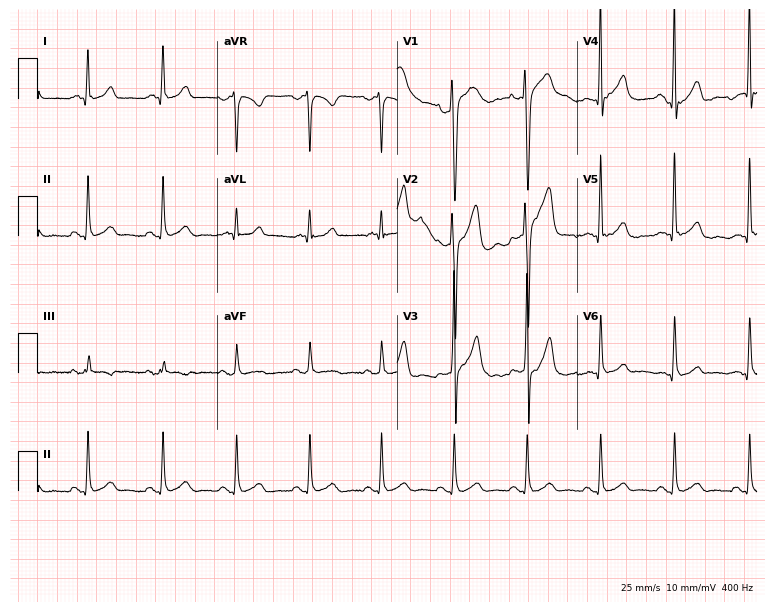
ECG (7.3-second recording at 400 Hz) — a male patient, 40 years old. Screened for six findings — first-degree AV block, right bundle branch block, left bundle branch block, sinus bradycardia, atrial fibrillation, sinus tachycardia — none is recorded.